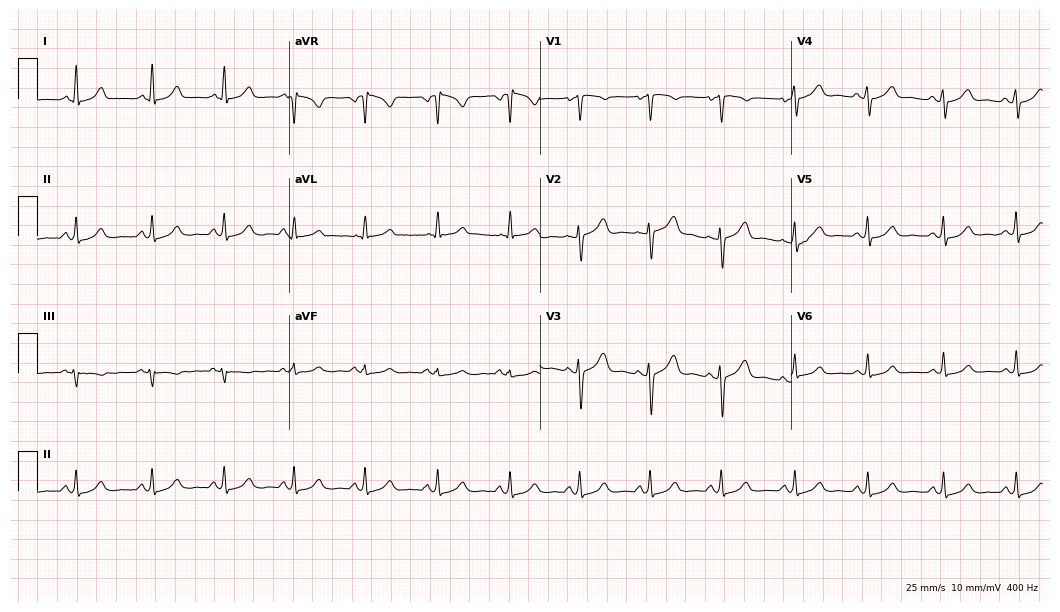
Resting 12-lead electrocardiogram (10.2-second recording at 400 Hz). Patient: a 38-year-old male. Read as a normal ECG.